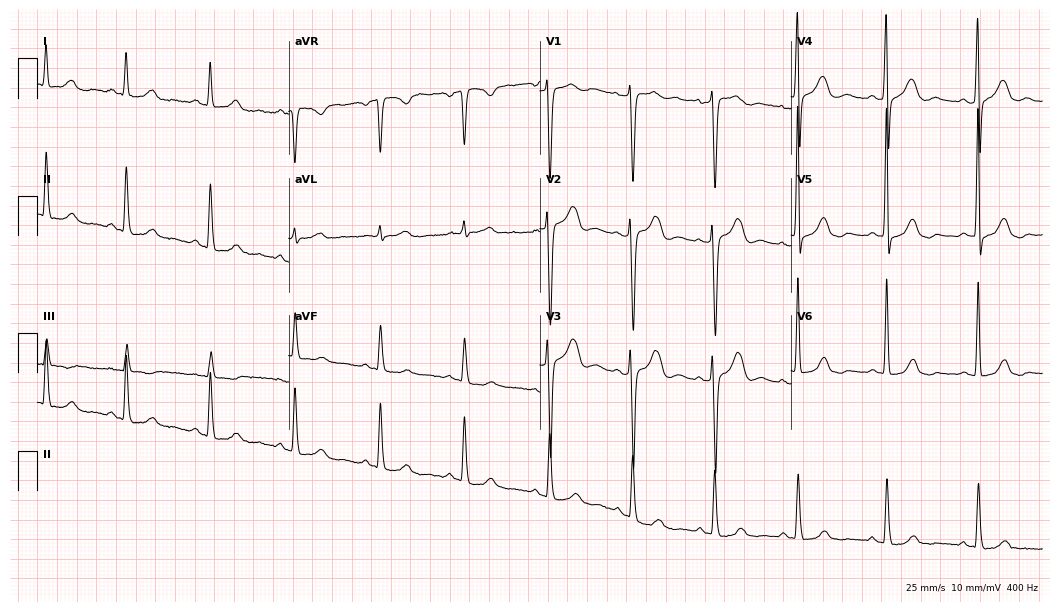
Standard 12-lead ECG recorded from a 60-year-old female (10.2-second recording at 400 Hz). None of these six findings is recorded: first-degree AV block, right bundle branch block, left bundle branch block, sinus bradycardia, atrial fibrillation, sinus tachycardia. Findings outside these six are not listed.